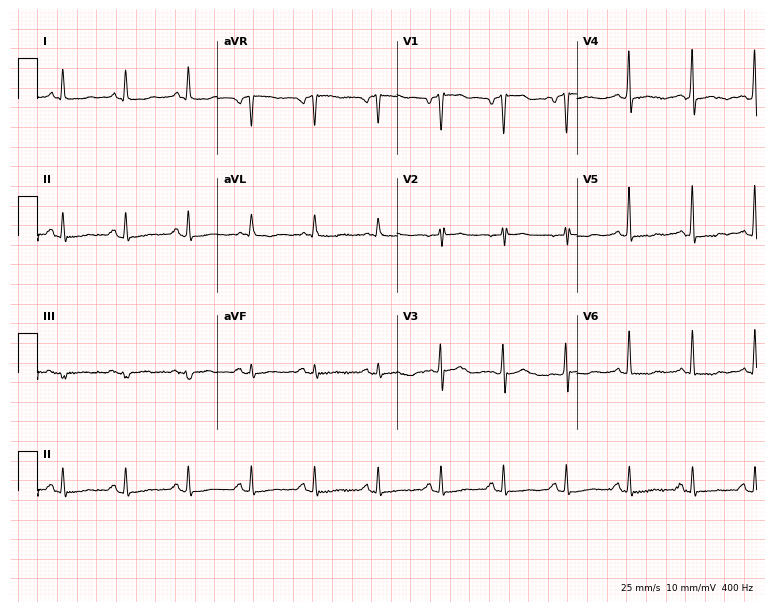
12-lead ECG from an 81-year-old man. Screened for six findings — first-degree AV block, right bundle branch block, left bundle branch block, sinus bradycardia, atrial fibrillation, sinus tachycardia — none is recorded.